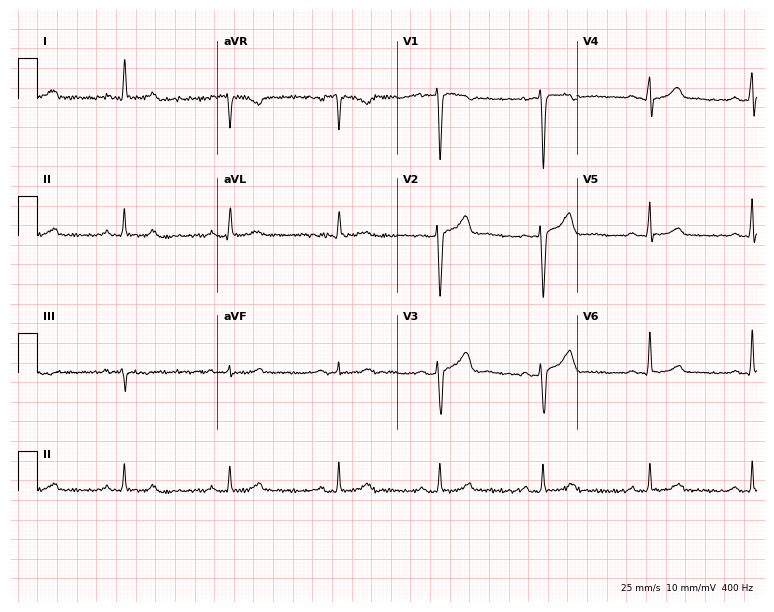
ECG — a male patient, 46 years old. Labelled as a normal ECG.